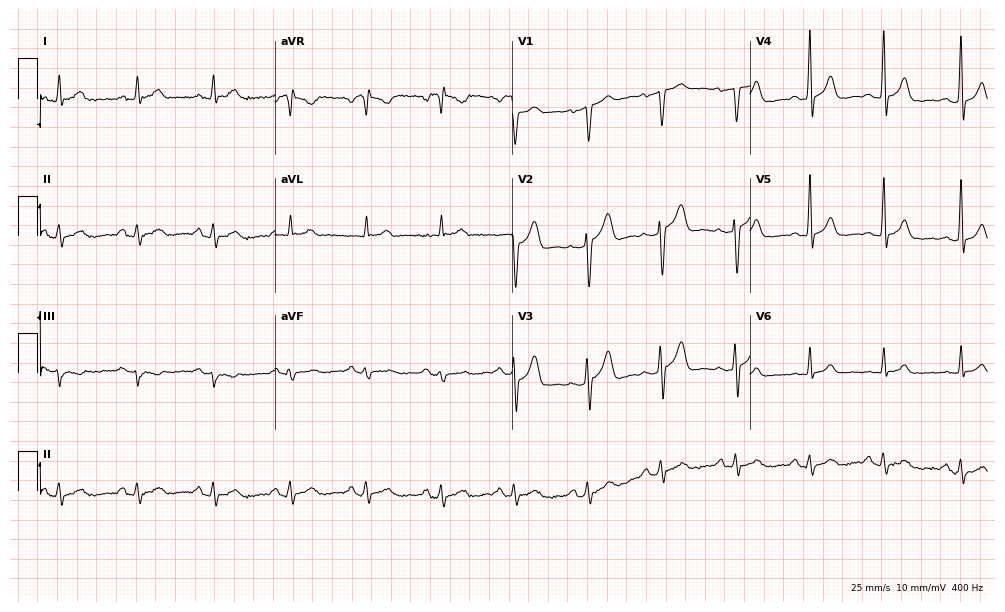
12-lead ECG (9.7-second recording at 400 Hz) from a female patient, 40 years old. Labelled as a normal ECG.